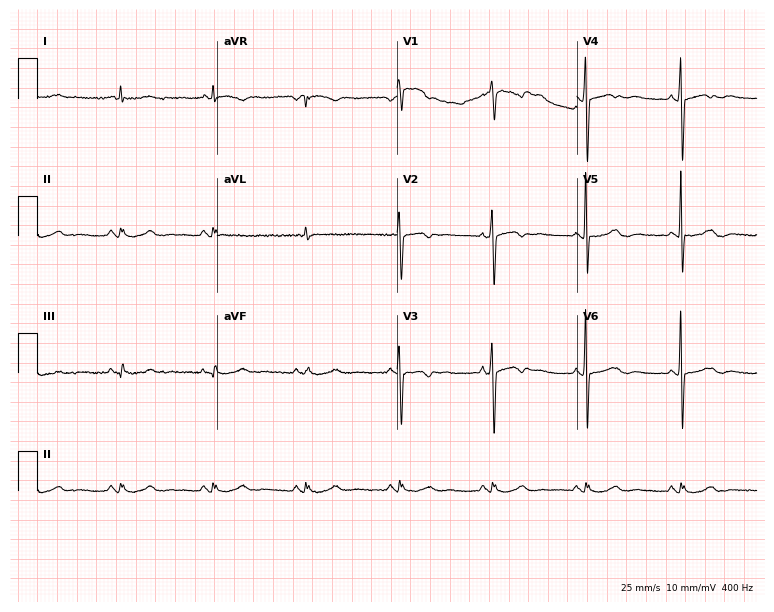
Electrocardiogram (7.3-second recording at 400 Hz), a male patient, 69 years old. Of the six screened findings (first-degree AV block, right bundle branch block (RBBB), left bundle branch block (LBBB), sinus bradycardia, atrial fibrillation (AF), sinus tachycardia), none is recorded.